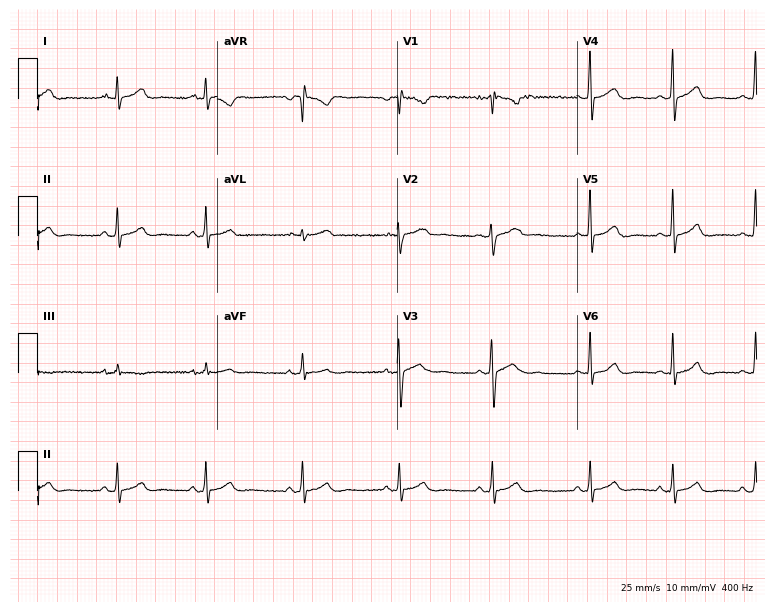
12-lead ECG from a 19-year-old female patient. Recorded interpretation: within normal limits.